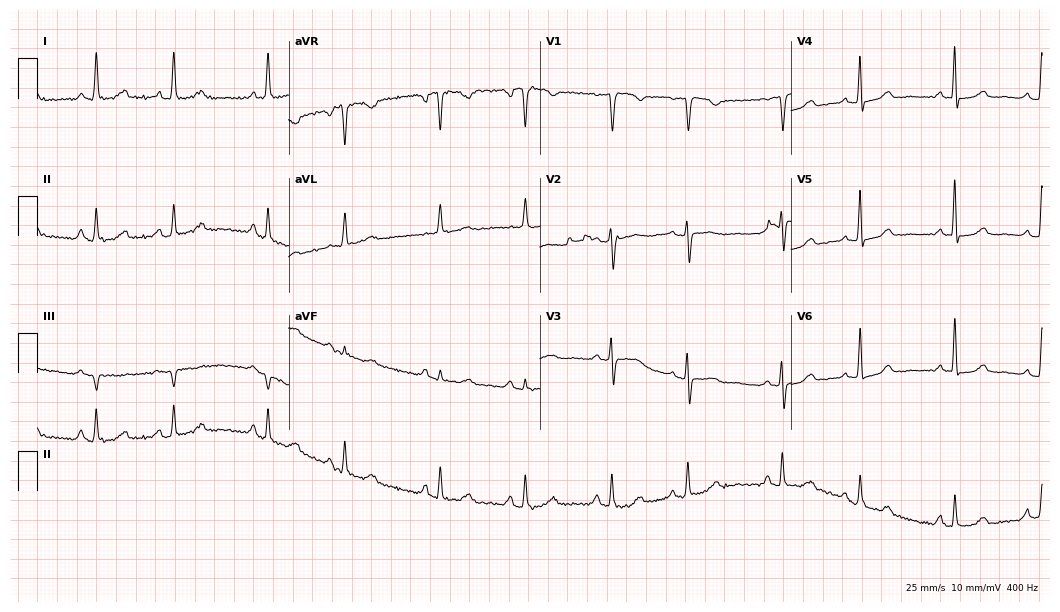
Standard 12-lead ECG recorded from an 80-year-old female patient (10.2-second recording at 400 Hz). Read as a normal ECG.